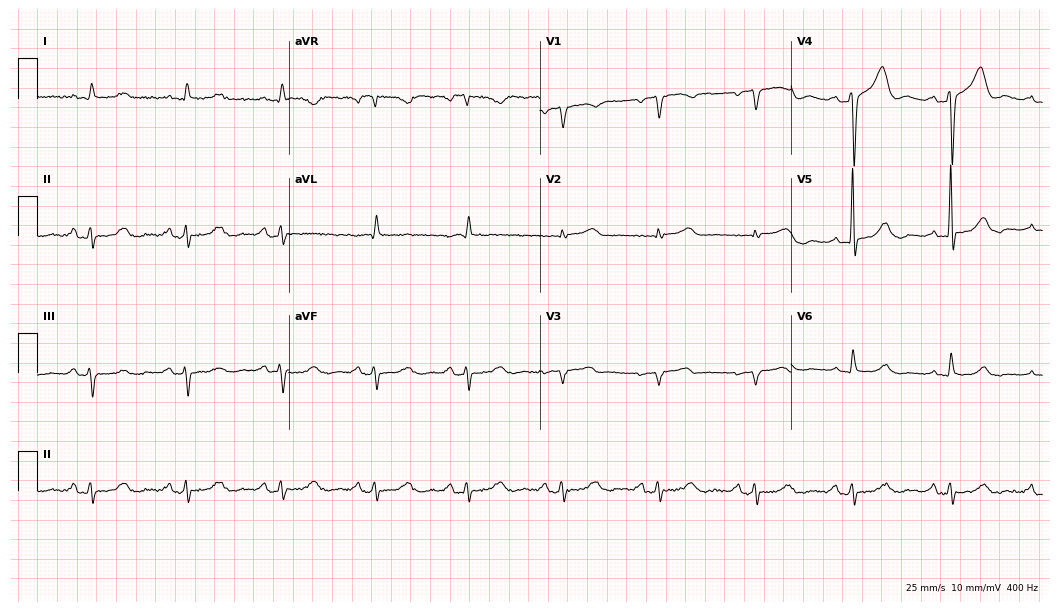
ECG (10.2-second recording at 400 Hz) — a 79-year-old male patient. Screened for six findings — first-degree AV block, right bundle branch block, left bundle branch block, sinus bradycardia, atrial fibrillation, sinus tachycardia — none is recorded.